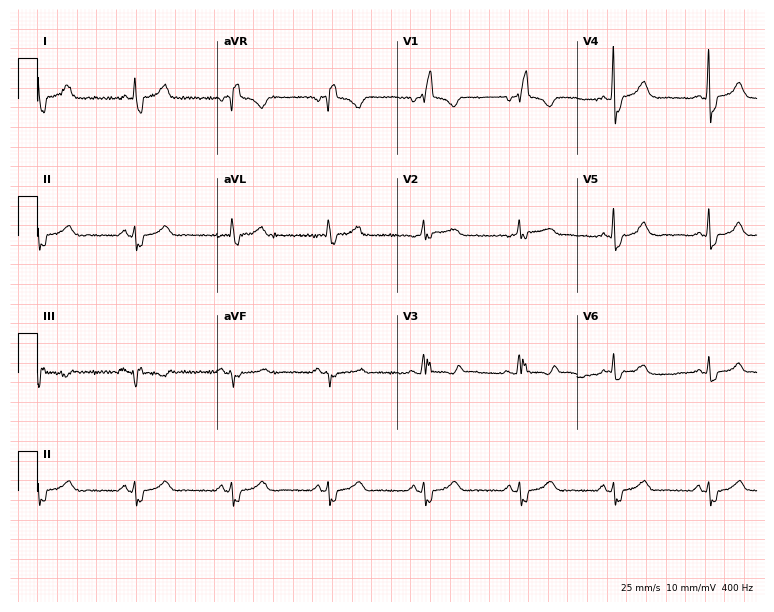
Standard 12-lead ECG recorded from a 74-year-old female patient (7.3-second recording at 400 Hz). The tracing shows right bundle branch block (RBBB).